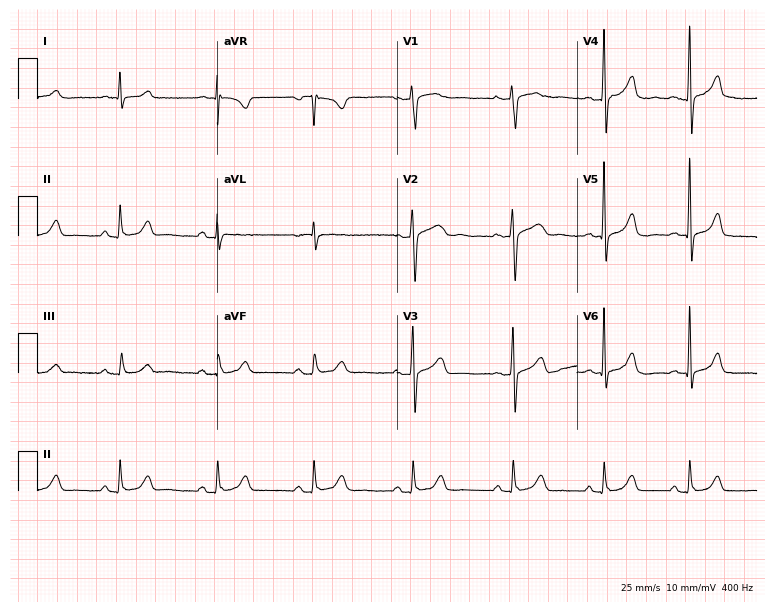
ECG — a 52-year-old female. Labelled as a normal ECG.